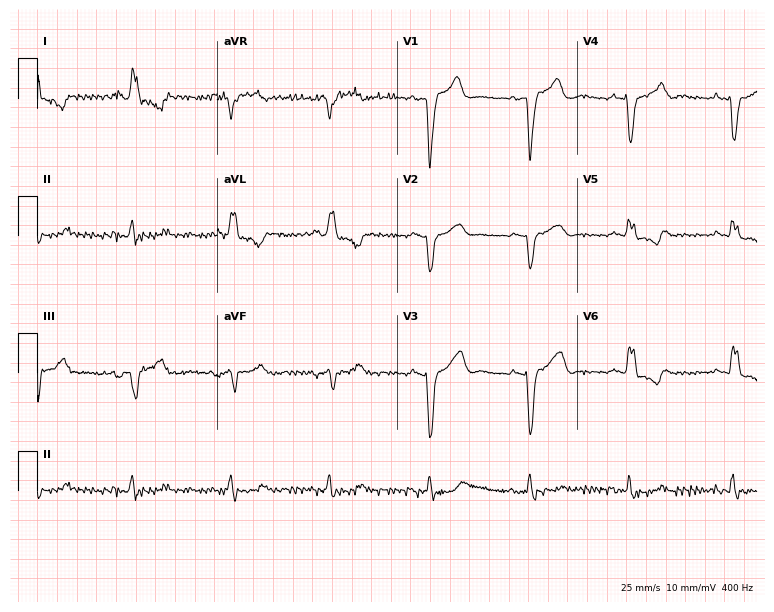
Electrocardiogram, a female, 65 years old. Interpretation includes left bundle branch block.